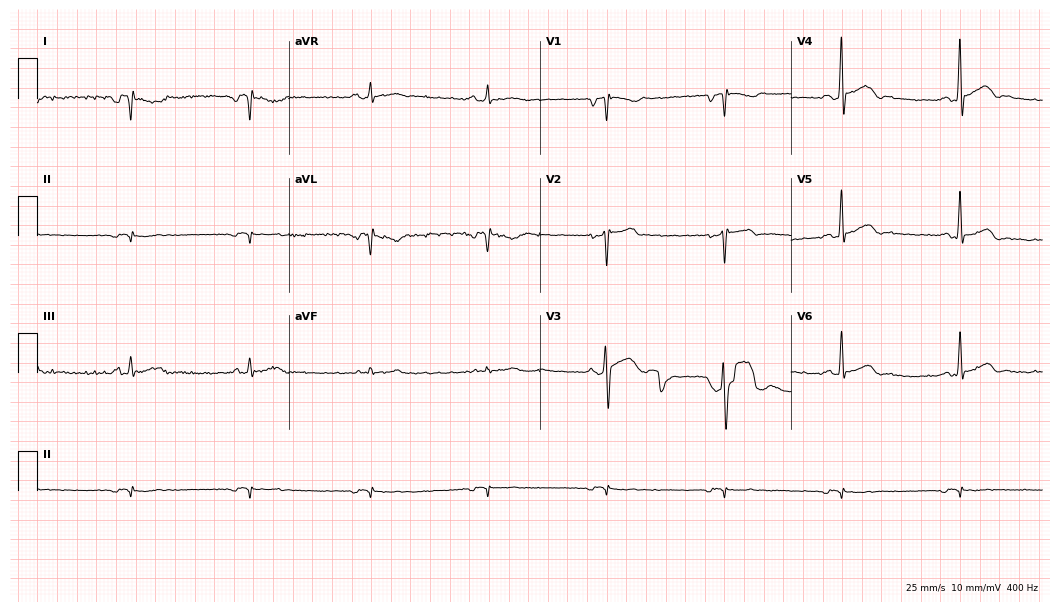
12-lead ECG from a 36-year-old male. No first-degree AV block, right bundle branch block (RBBB), left bundle branch block (LBBB), sinus bradycardia, atrial fibrillation (AF) or sinus tachycardia recorded for this tracing.